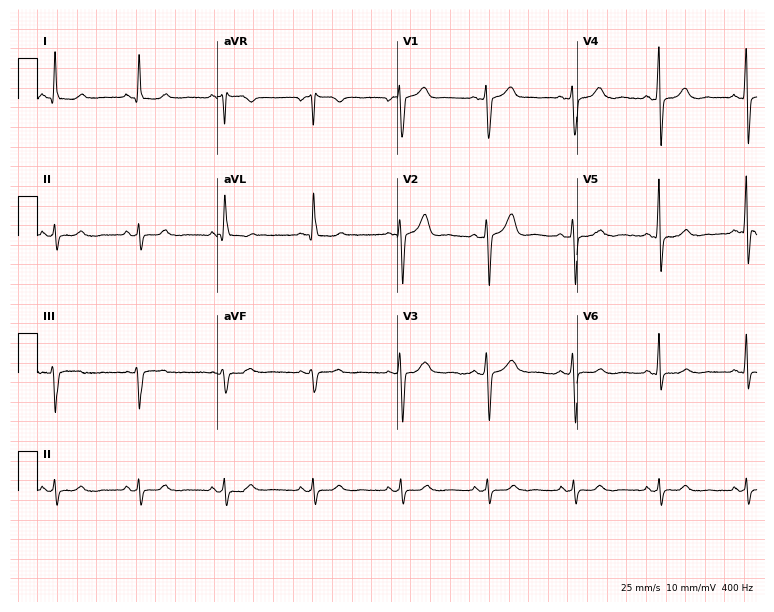
Standard 12-lead ECG recorded from a female, 55 years old (7.3-second recording at 400 Hz). Read as a normal ECG.